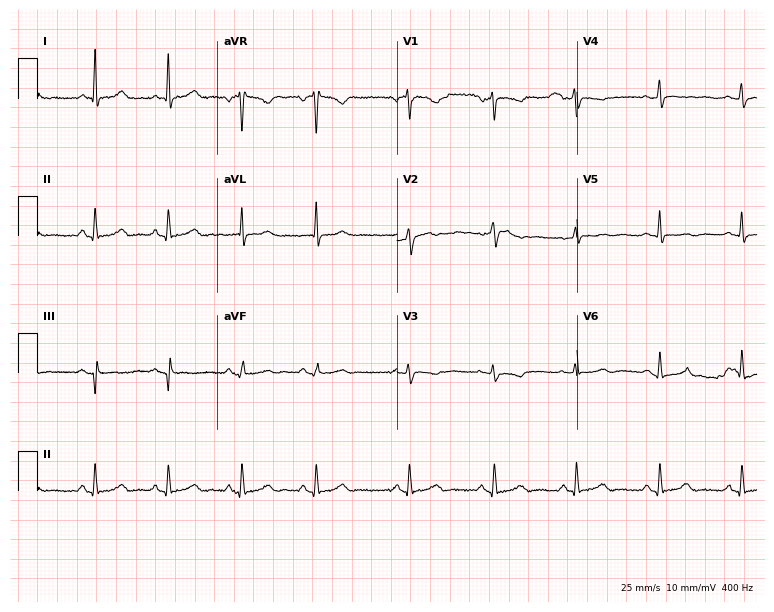
12-lead ECG from a female, 65 years old. No first-degree AV block, right bundle branch block, left bundle branch block, sinus bradycardia, atrial fibrillation or sinus tachycardia recorded for this tracing.